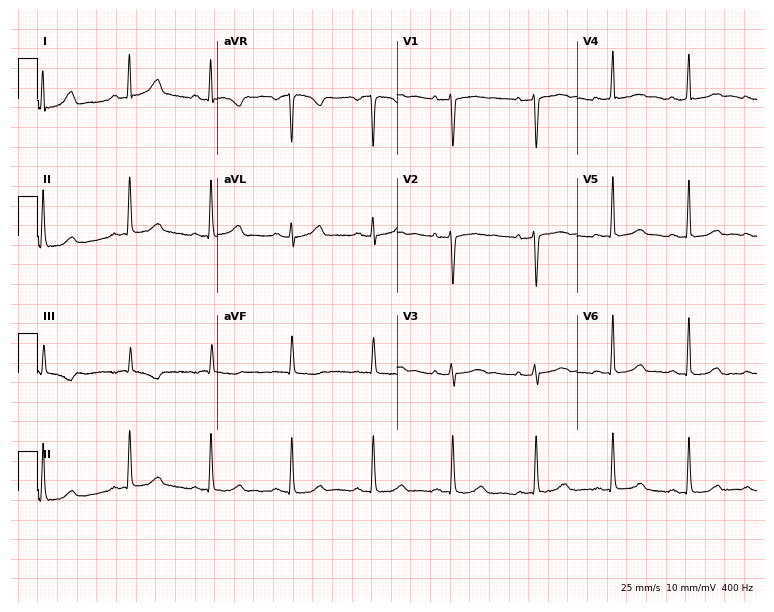
Standard 12-lead ECG recorded from a female patient, 46 years old (7.3-second recording at 400 Hz). None of these six findings is recorded: first-degree AV block, right bundle branch block (RBBB), left bundle branch block (LBBB), sinus bradycardia, atrial fibrillation (AF), sinus tachycardia.